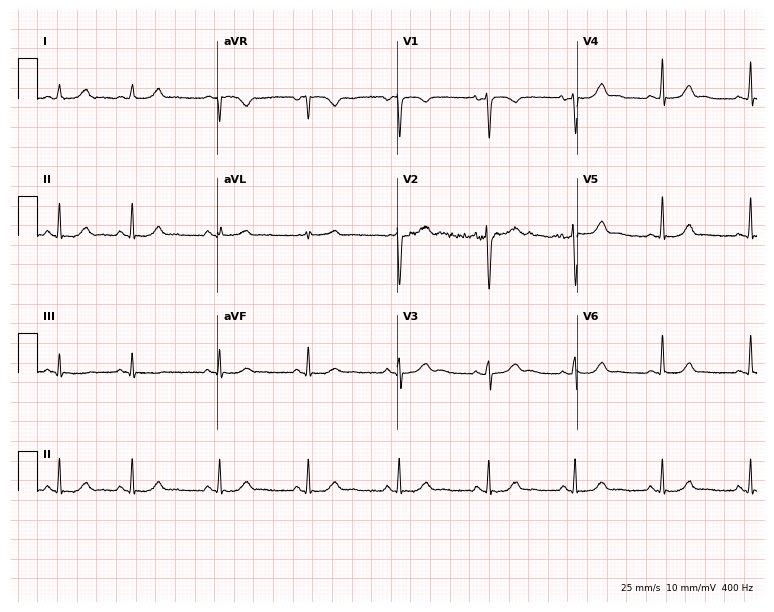
ECG (7.3-second recording at 400 Hz) — a female patient, 39 years old. Labelled as a normal ECG.